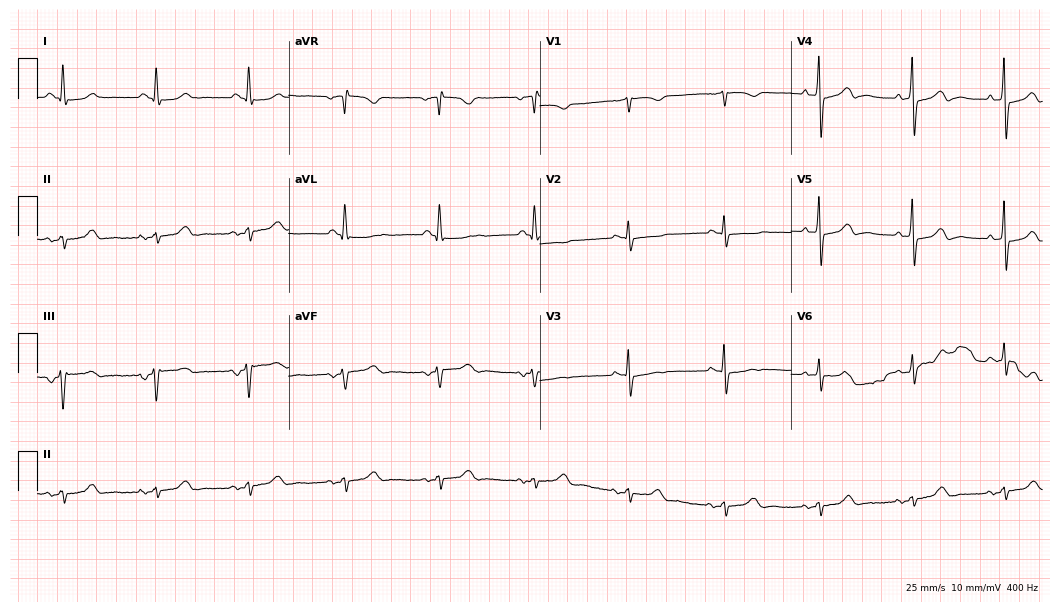
ECG — a male patient, 82 years old. Screened for six findings — first-degree AV block, right bundle branch block, left bundle branch block, sinus bradycardia, atrial fibrillation, sinus tachycardia — none is recorded.